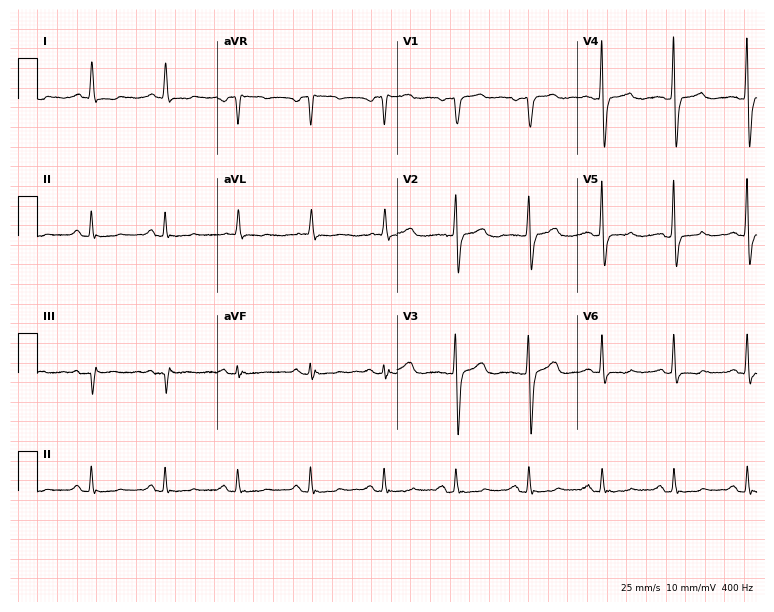
Standard 12-lead ECG recorded from a woman, 66 years old (7.3-second recording at 400 Hz). None of these six findings is recorded: first-degree AV block, right bundle branch block, left bundle branch block, sinus bradycardia, atrial fibrillation, sinus tachycardia. Other findings, if any, are not listed.